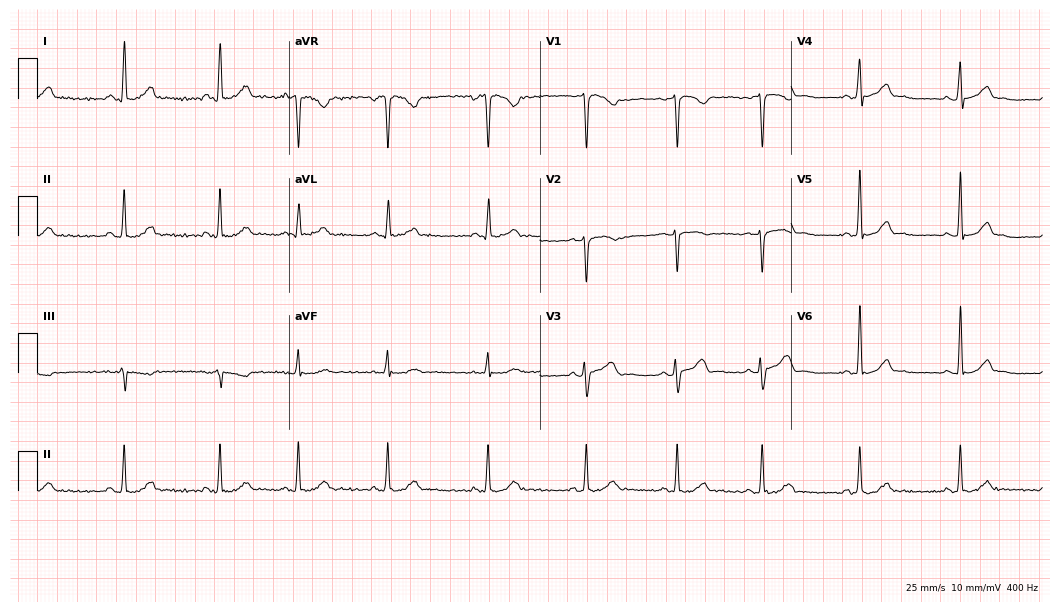
Resting 12-lead electrocardiogram. Patient: a female, 29 years old. Read as a normal ECG.